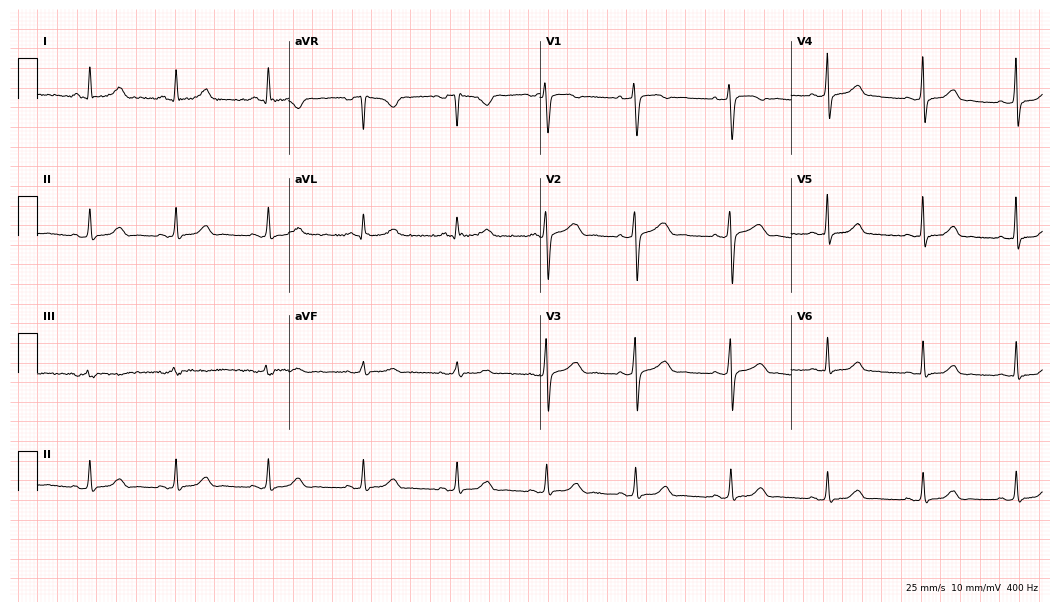
ECG (10.2-second recording at 400 Hz) — a 32-year-old female. Labelled as a normal ECG.